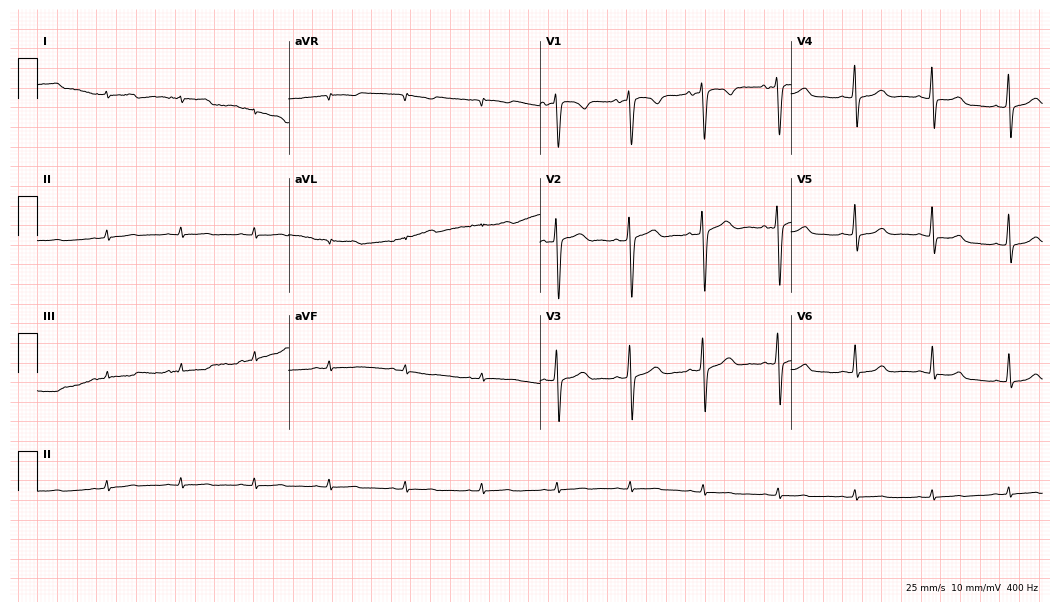
12-lead ECG from a 41-year-old female patient (10.2-second recording at 400 Hz). No first-degree AV block, right bundle branch block (RBBB), left bundle branch block (LBBB), sinus bradycardia, atrial fibrillation (AF) or sinus tachycardia recorded for this tracing. Other findings, if any, are not listed.